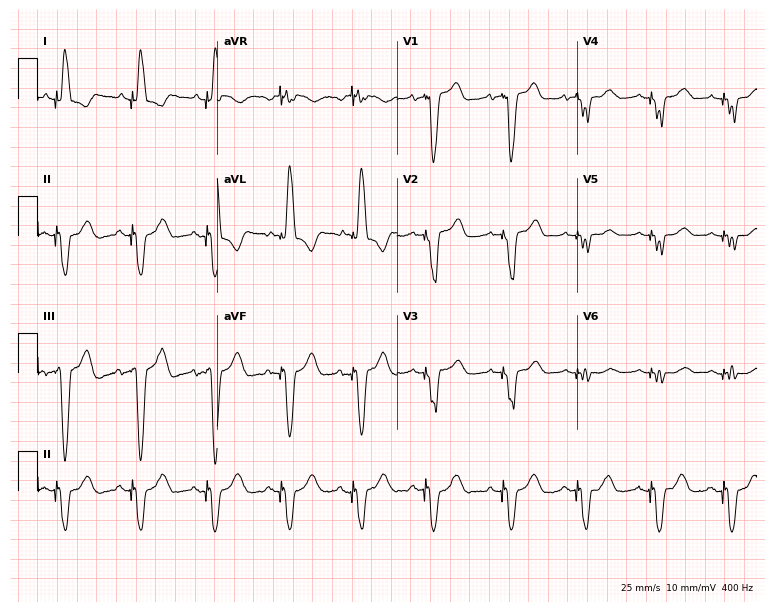
Electrocardiogram, an 85-year-old female. Of the six screened findings (first-degree AV block, right bundle branch block (RBBB), left bundle branch block (LBBB), sinus bradycardia, atrial fibrillation (AF), sinus tachycardia), none is recorded. Findings outside these six are not listed.